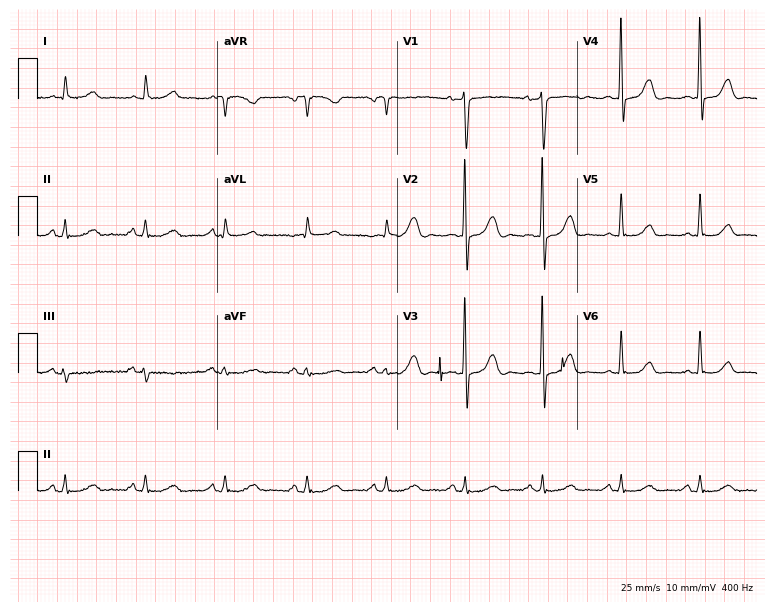
ECG (7.3-second recording at 400 Hz) — a 47-year-old male. Screened for six findings — first-degree AV block, right bundle branch block, left bundle branch block, sinus bradycardia, atrial fibrillation, sinus tachycardia — none is recorded.